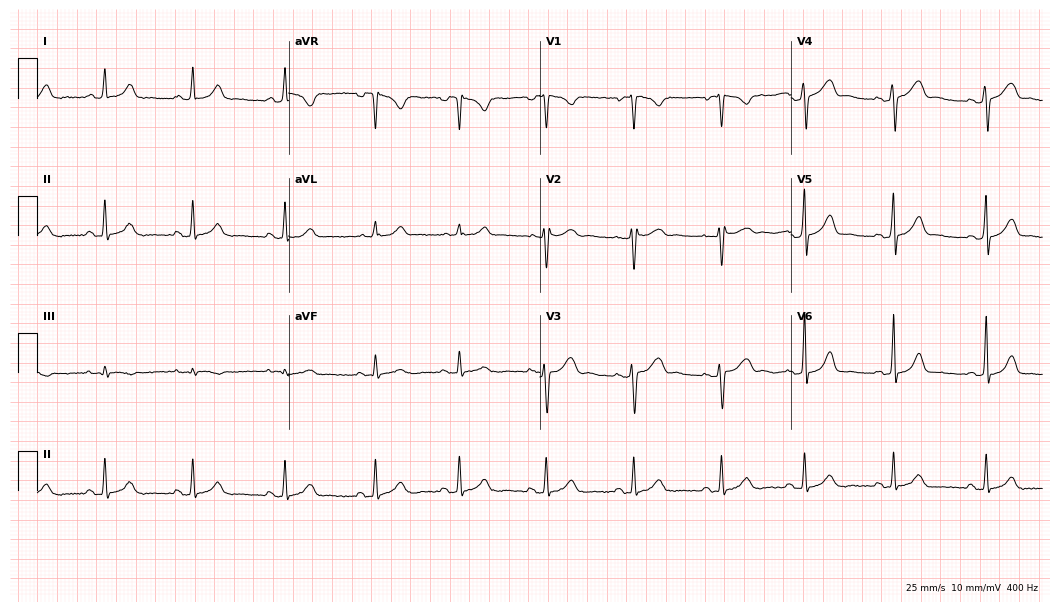
Electrocardiogram (10.2-second recording at 400 Hz), a 27-year-old female. Overall reading on record: normal ECG.